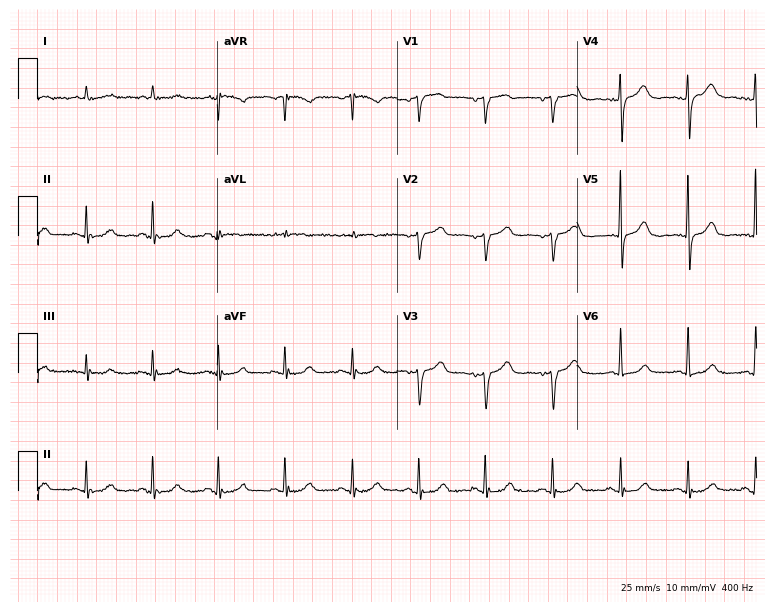
ECG — an 82-year-old female. Screened for six findings — first-degree AV block, right bundle branch block, left bundle branch block, sinus bradycardia, atrial fibrillation, sinus tachycardia — none is recorded.